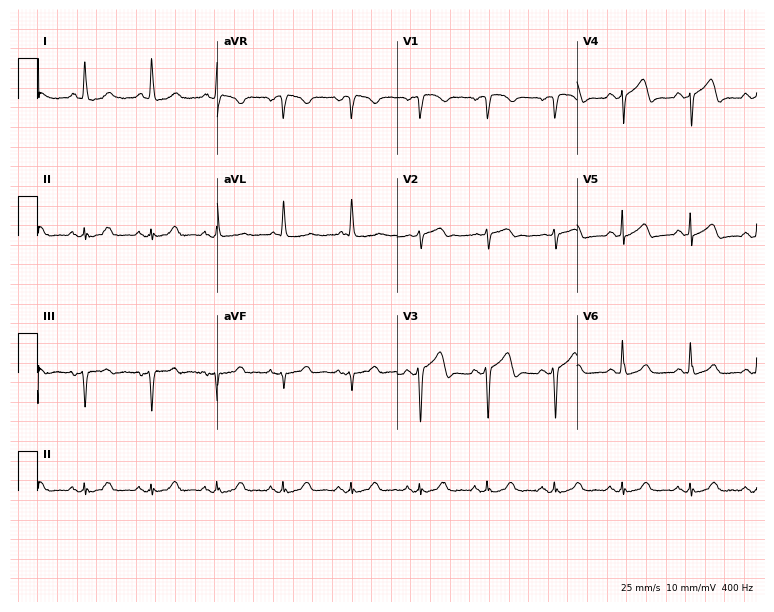
Electrocardiogram, a female, 70 years old. Of the six screened findings (first-degree AV block, right bundle branch block (RBBB), left bundle branch block (LBBB), sinus bradycardia, atrial fibrillation (AF), sinus tachycardia), none is recorded. Findings outside these six are not listed.